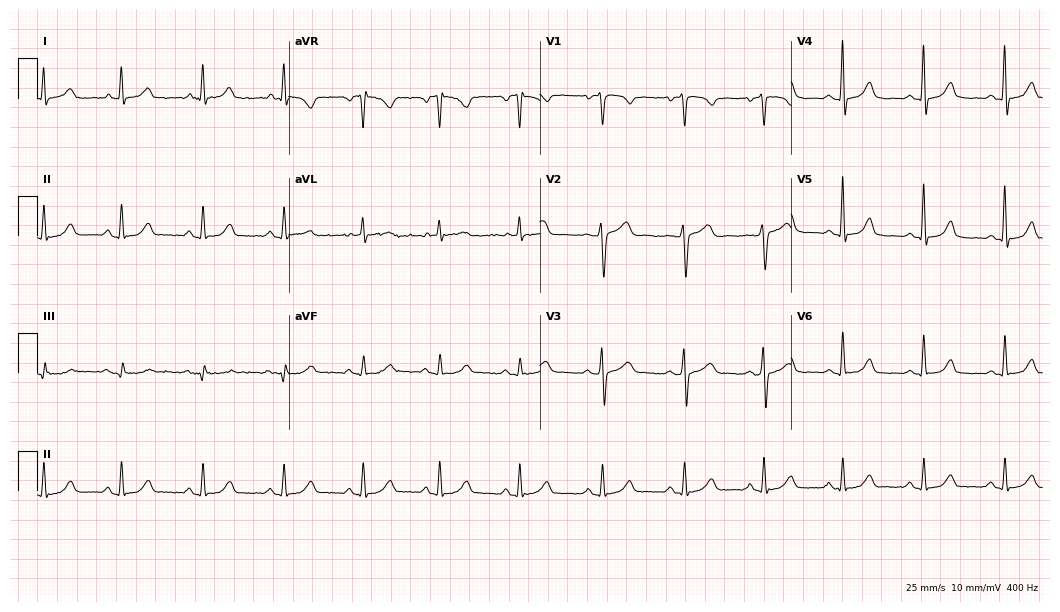
ECG — a female, 59 years old. Screened for six findings — first-degree AV block, right bundle branch block (RBBB), left bundle branch block (LBBB), sinus bradycardia, atrial fibrillation (AF), sinus tachycardia — none is recorded.